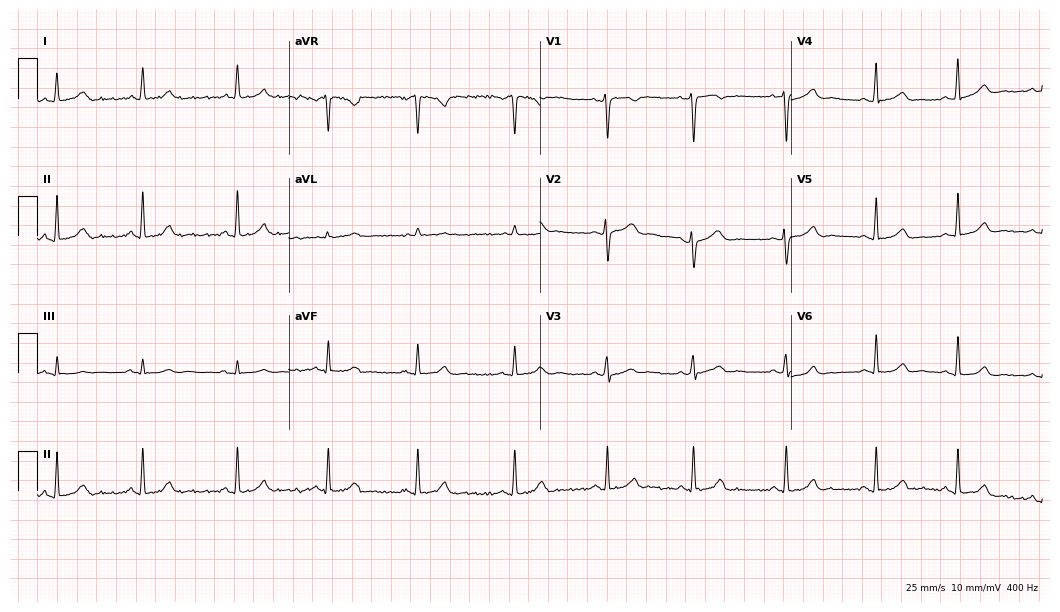
Electrocardiogram (10.2-second recording at 400 Hz), a 30-year-old woman. Overall reading on record: normal ECG.